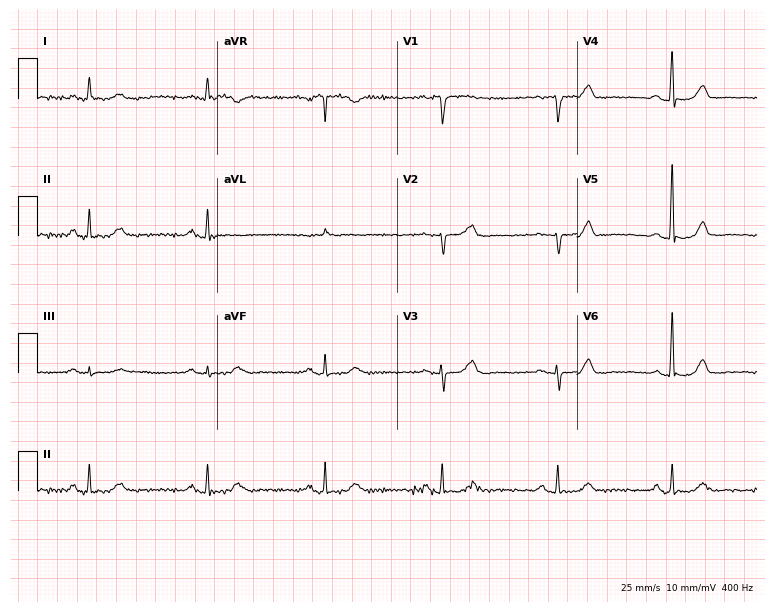
Electrocardiogram (7.3-second recording at 400 Hz), a 75-year-old male. Interpretation includes sinus bradycardia (a sinus rate of 50 beats per minute or less).